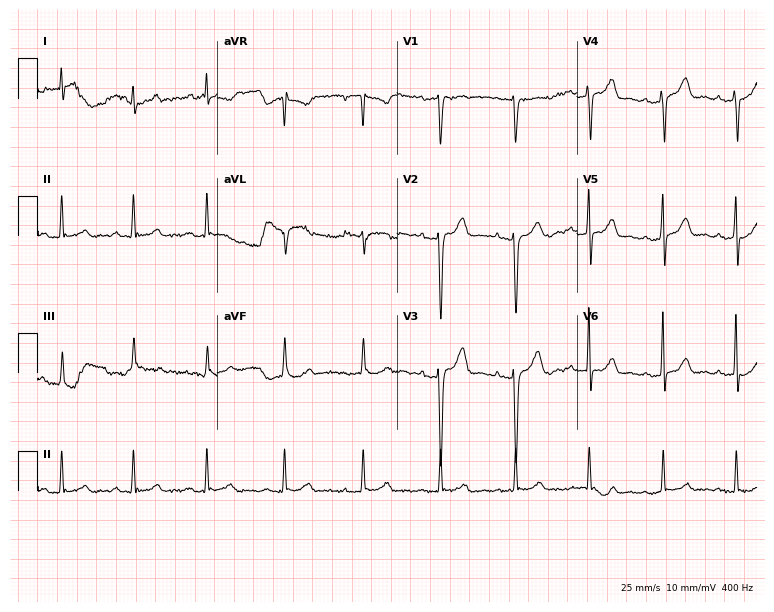
ECG — a 33-year-old male. Labelled as a normal ECG.